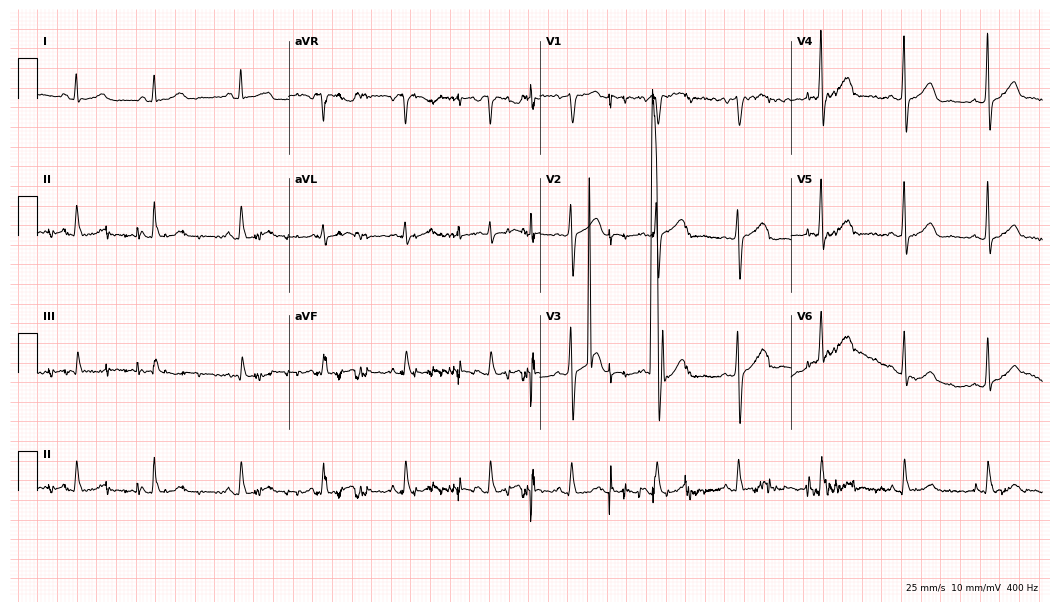
Standard 12-lead ECG recorded from a woman, 43 years old. None of these six findings is recorded: first-degree AV block, right bundle branch block (RBBB), left bundle branch block (LBBB), sinus bradycardia, atrial fibrillation (AF), sinus tachycardia. Other findings, if any, are not listed.